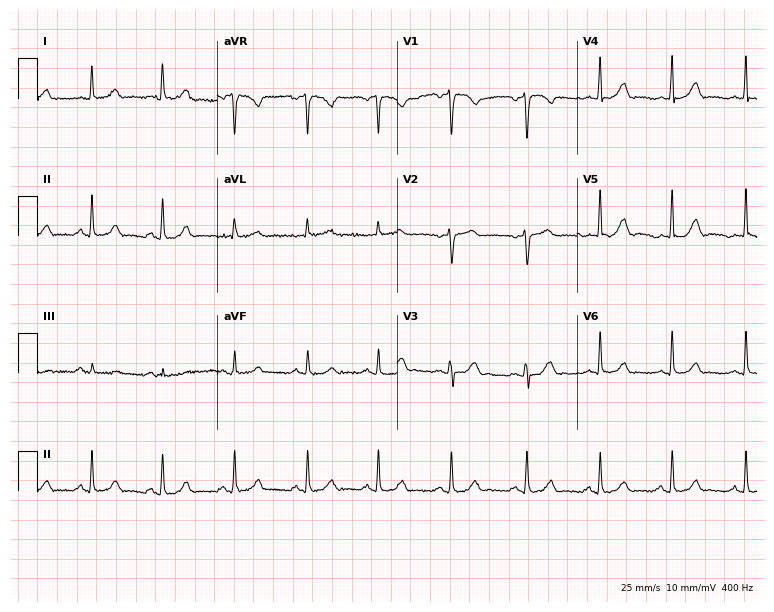
Standard 12-lead ECG recorded from an 83-year-old woman. Read as a normal ECG.